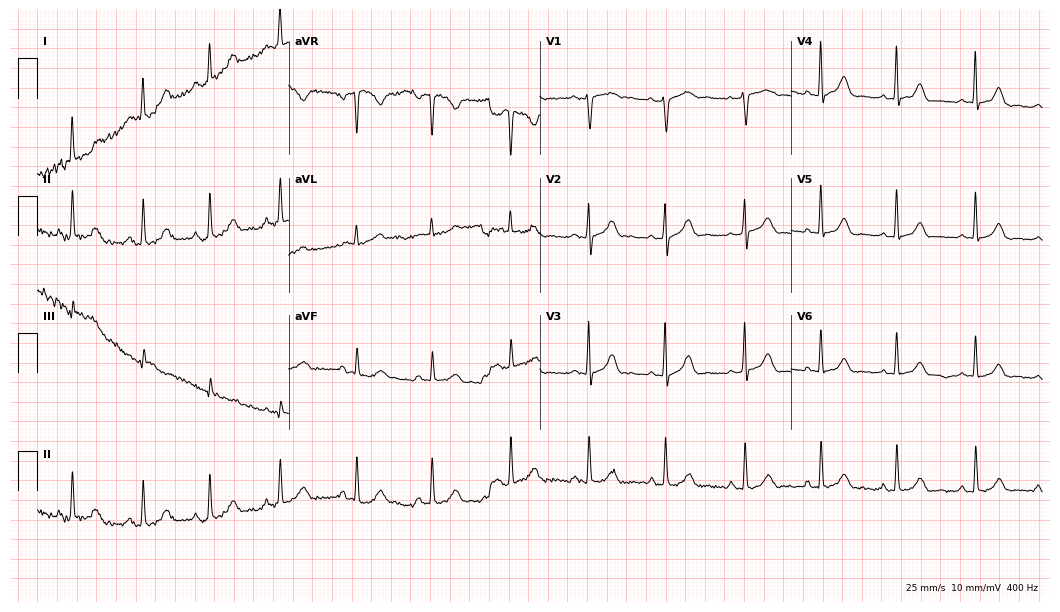
ECG — a female, 30 years old. Screened for six findings — first-degree AV block, right bundle branch block, left bundle branch block, sinus bradycardia, atrial fibrillation, sinus tachycardia — none is recorded.